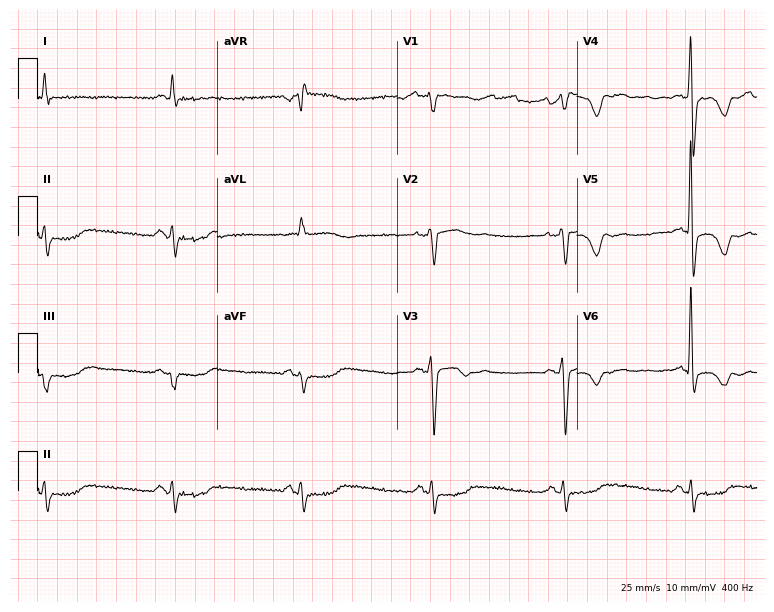
Standard 12-lead ECG recorded from a male, 75 years old (7.3-second recording at 400 Hz). None of these six findings is recorded: first-degree AV block, right bundle branch block, left bundle branch block, sinus bradycardia, atrial fibrillation, sinus tachycardia. Findings outside these six are not listed.